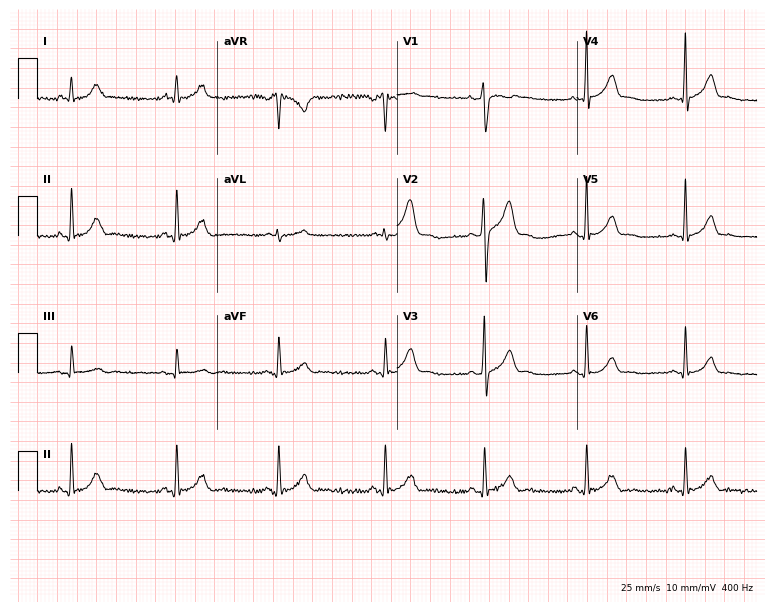
ECG (7.3-second recording at 400 Hz) — a 37-year-old male patient. Labelled as a normal ECG.